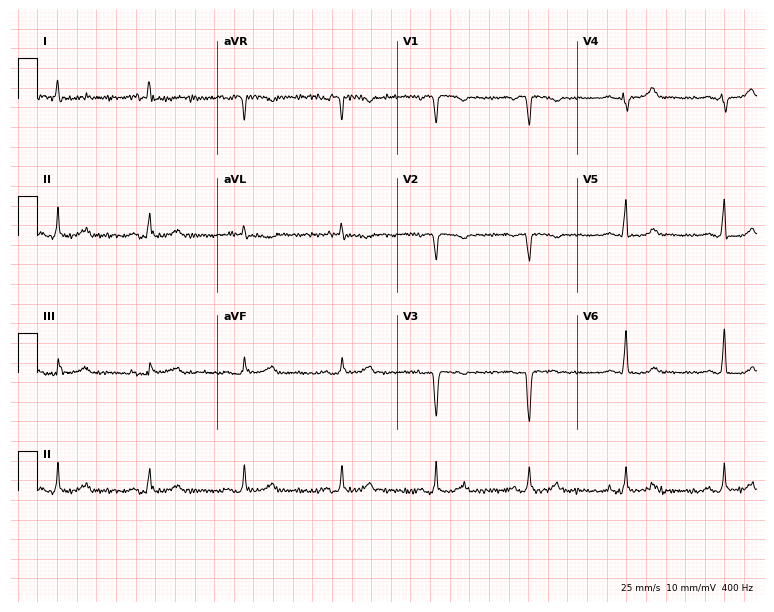
Standard 12-lead ECG recorded from a 56-year-old female patient. Read as a normal ECG.